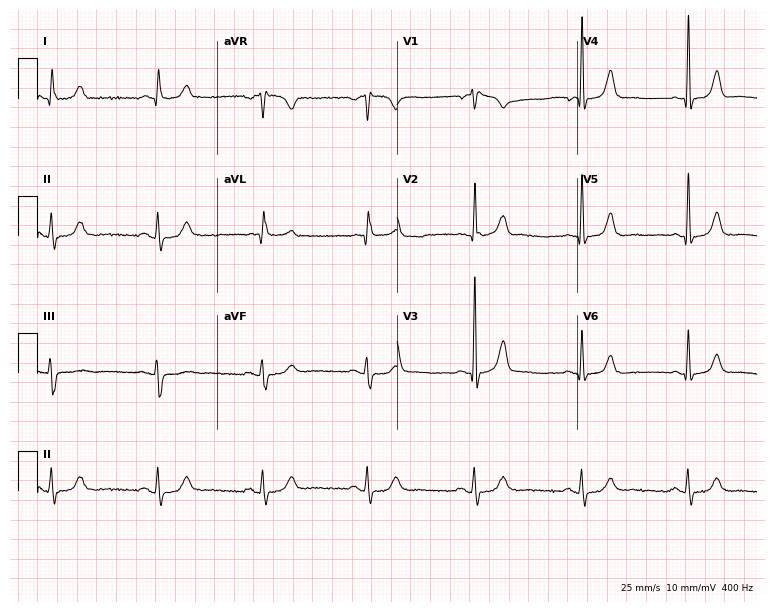
12-lead ECG from a male patient, 68 years old. No first-degree AV block, right bundle branch block, left bundle branch block, sinus bradycardia, atrial fibrillation or sinus tachycardia recorded for this tracing.